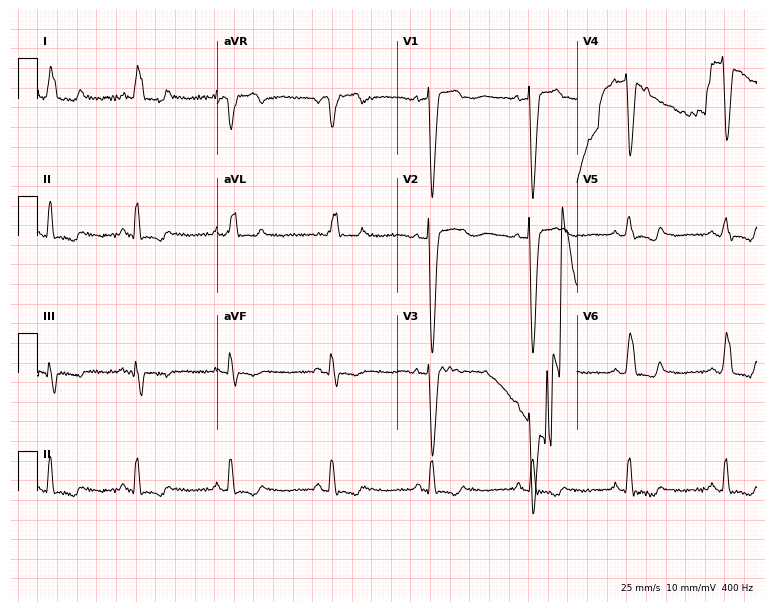
Electrocardiogram, a 63-year-old female. Interpretation includes left bundle branch block.